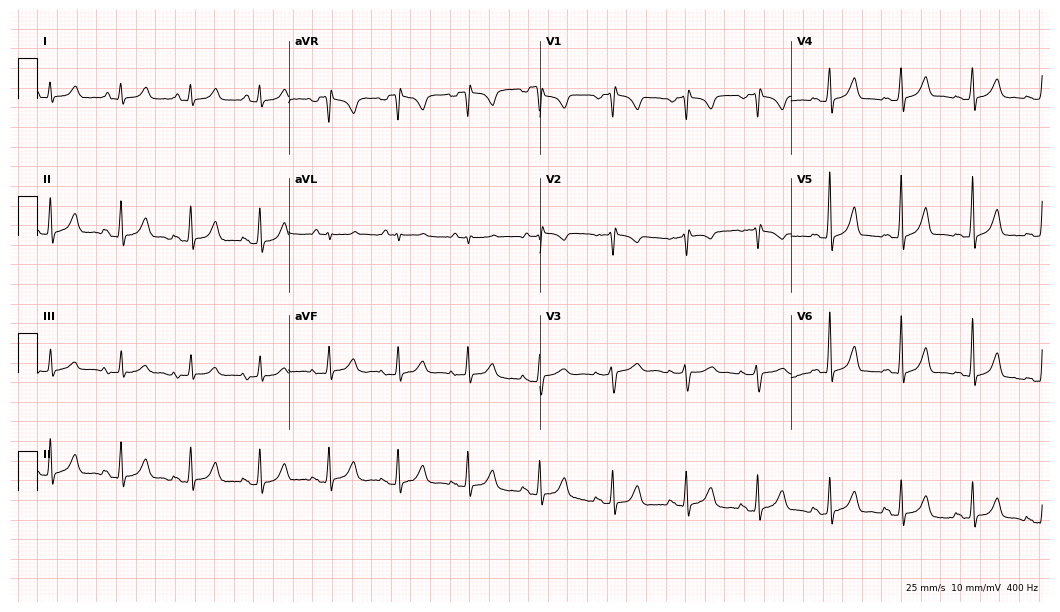
12-lead ECG from a 25-year-old female. Recorded interpretation: within normal limits.